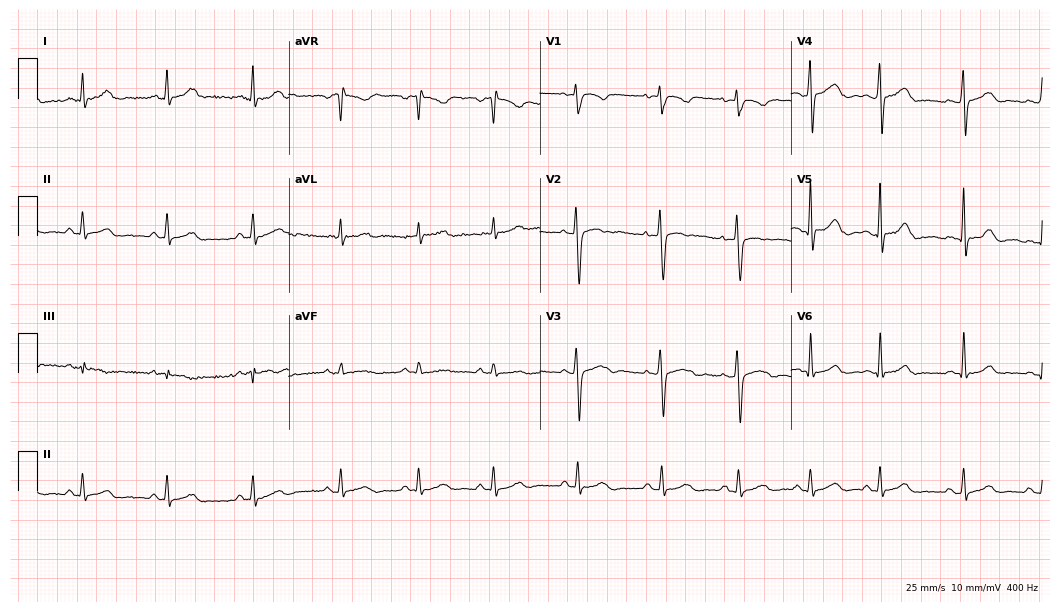
Standard 12-lead ECG recorded from a female, 48 years old. Read as a normal ECG.